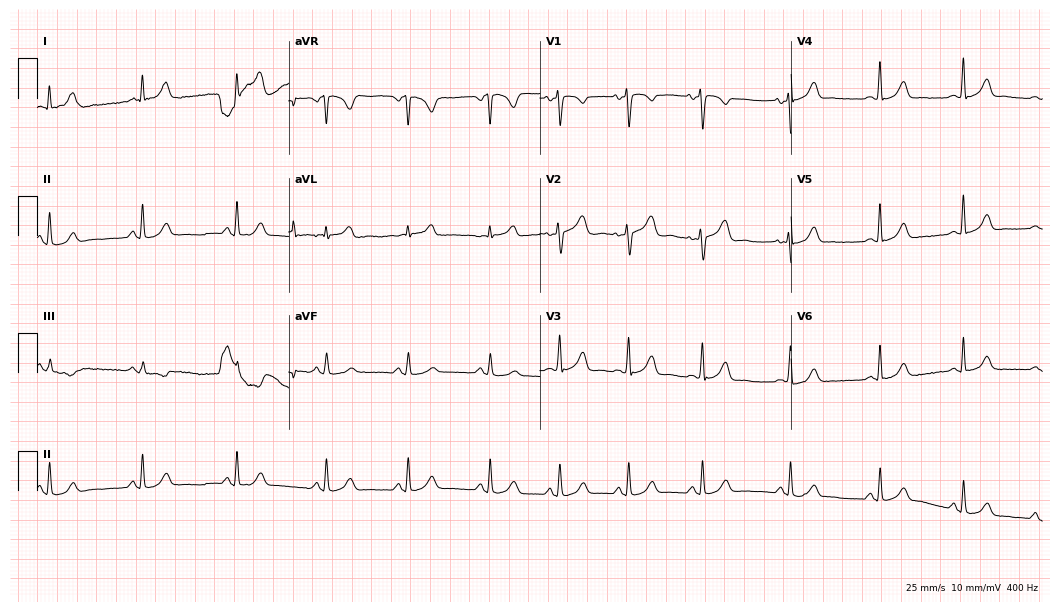
Electrocardiogram (10.2-second recording at 400 Hz), a 19-year-old female patient. Of the six screened findings (first-degree AV block, right bundle branch block, left bundle branch block, sinus bradycardia, atrial fibrillation, sinus tachycardia), none is recorded.